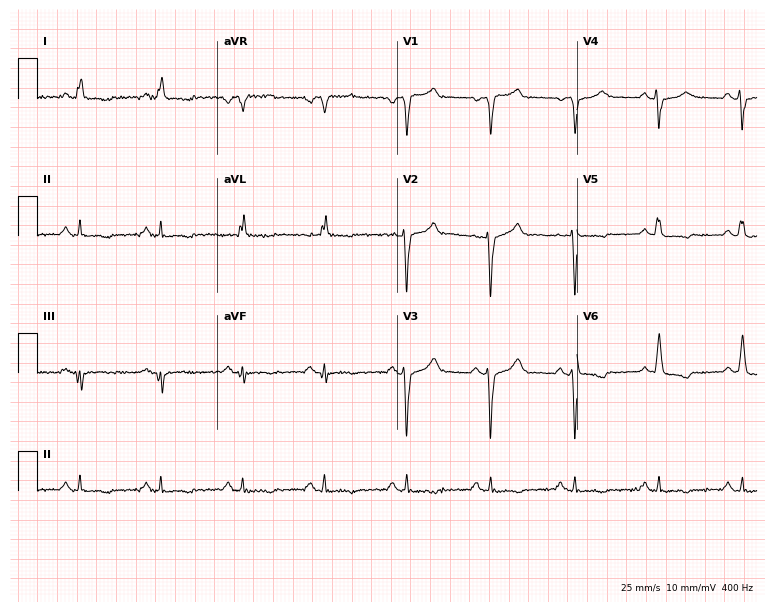
ECG (7.3-second recording at 400 Hz) — a male, 73 years old. Labelled as a normal ECG.